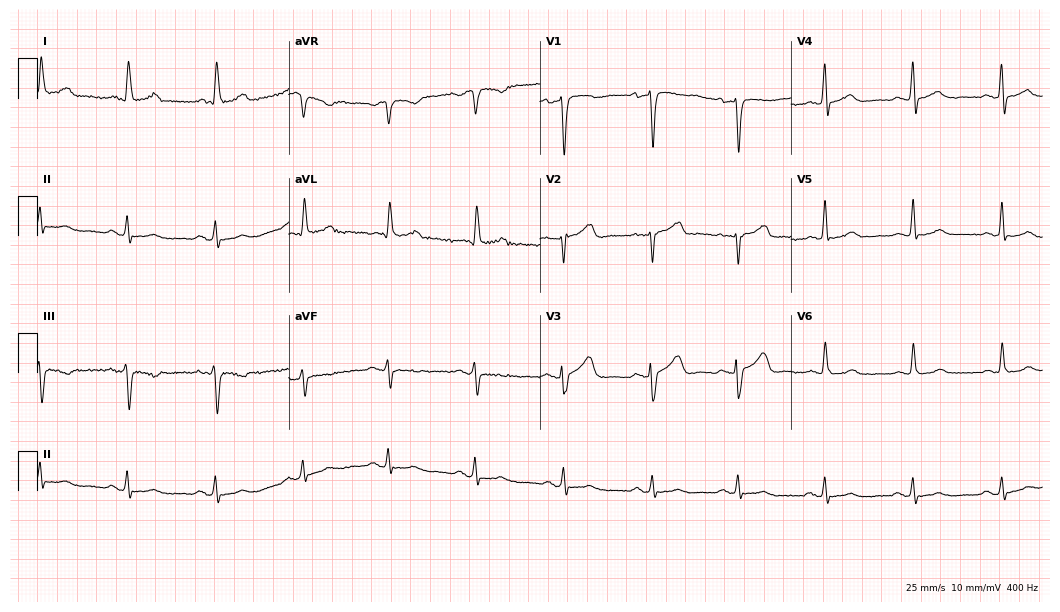
Standard 12-lead ECG recorded from a 57-year-old man (10.2-second recording at 400 Hz). None of these six findings is recorded: first-degree AV block, right bundle branch block, left bundle branch block, sinus bradycardia, atrial fibrillation, sinus tachycardia.